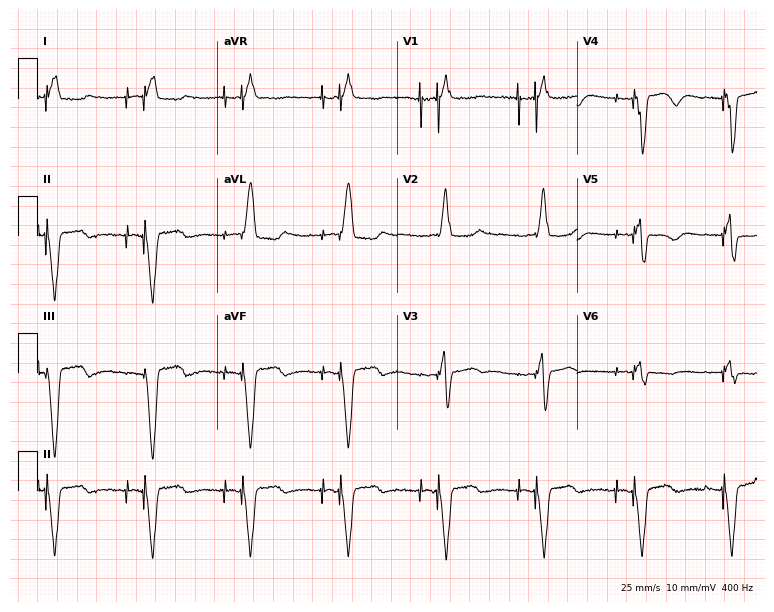
12-lead ECG from a 54-year-old female patient (7.3-second recording at 400 Hz). No first-degree AV block, right bundle branch block, left bundle branch block, sinus bradycardia, atrial fibrillation or sinus tachycardia recorded for this tracing.